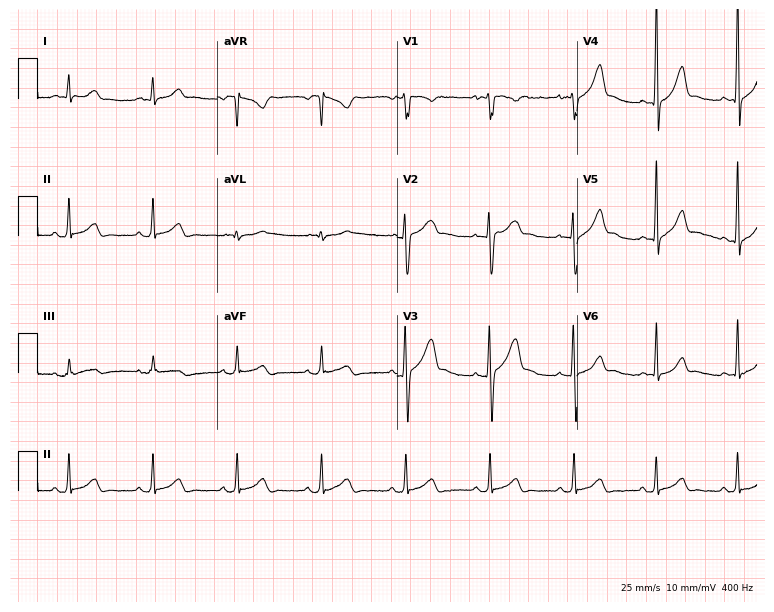
Standard 12-lead ECG recorded from a male, 20 years old. Read as a normal ECG.